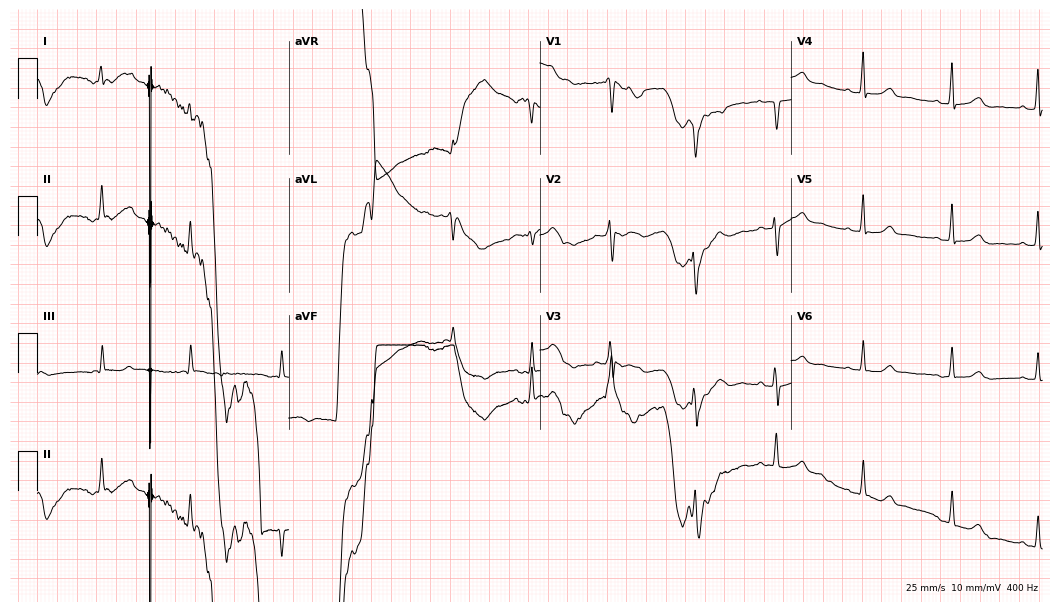
Electrocardiogram (10.2-second recording at 400 Hz), a female, 36 years old. Of the six screened findings (first-degree AV block, right bundle branch block, left bundle branch block, sinus bradycardia, atrial fibrillation, sinus tachycardia), none is recorded.